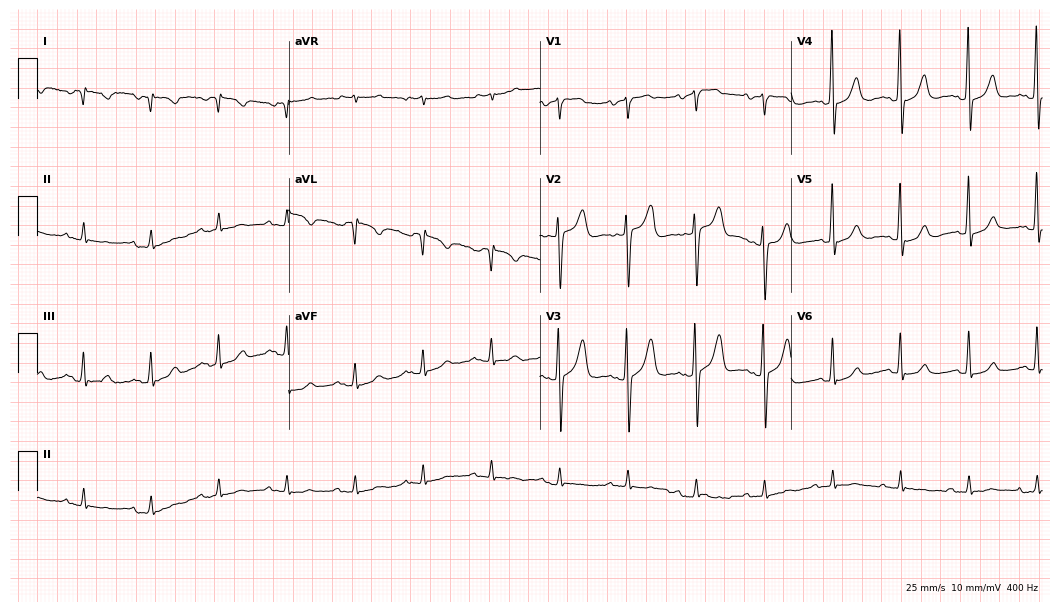
Resting 12-lead electrocardiogram (10.2-second recording at 400 Hz). Patient: a male, 66 years old. None of these six findings is recorded: first-degree AV block, right bundle branch block, left bundle branch block, sinus bradycardia, atrial fibrillation, sinus tachycardia.